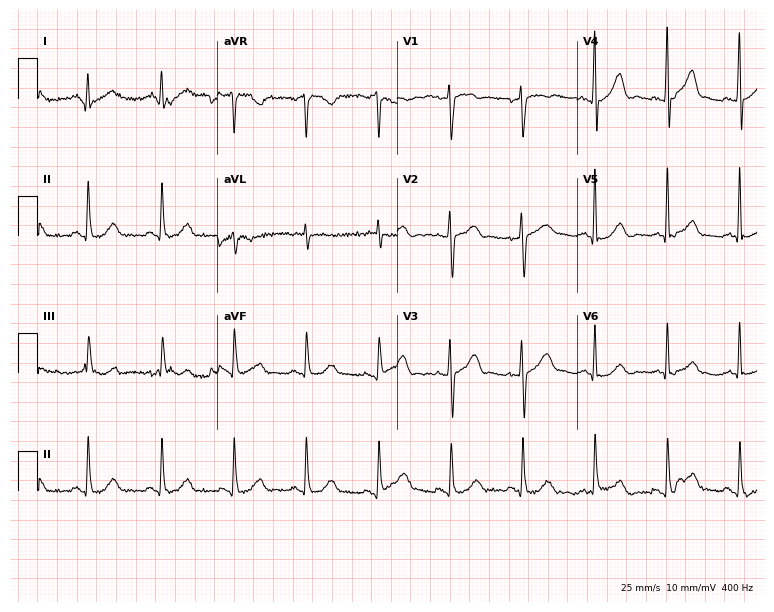
ECG — a male, 75 years old. Labelled as a normal ECG.